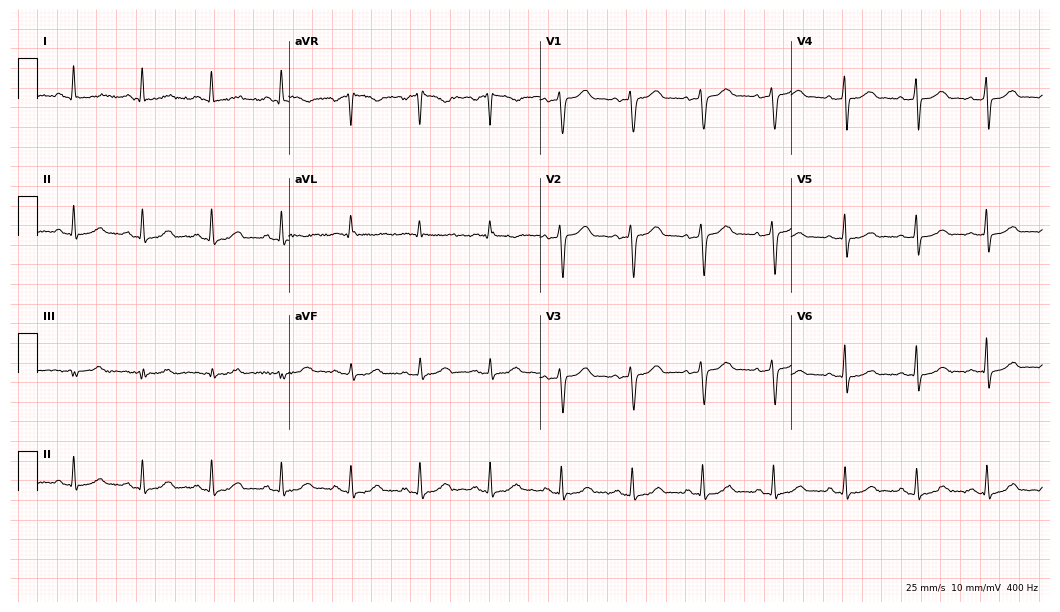
Standard 12-lead ECG recorded from a 58-year-old female patient (10.2-second recording at 400 Hz). Read as a normal ECG.